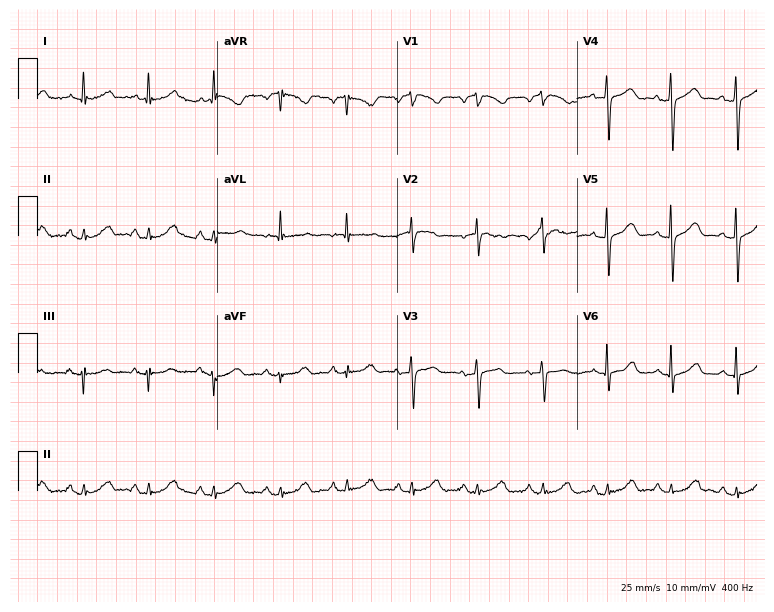
Electrocardiogram (7.3-second recording at 400 Hz), a female patient, 75 years old. Of the six screened findings (first-degree AV block, right bundle branch block, left bundle branch block, sinus bradycardia, atrial fibrillation, sinus tachycardia), none is recorded. Other findings, if any, are not listed.